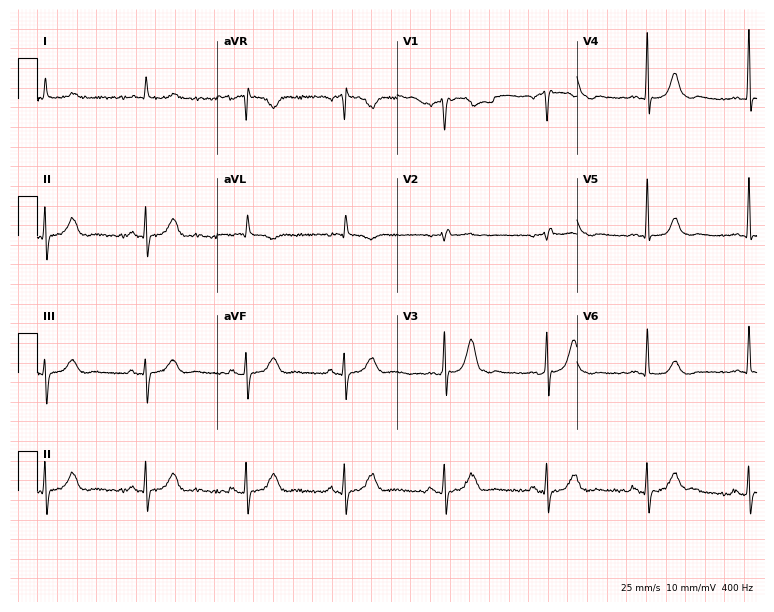
Standard 12-lead ECG recorded from a 70-year-old man. Read as a normal ECG.